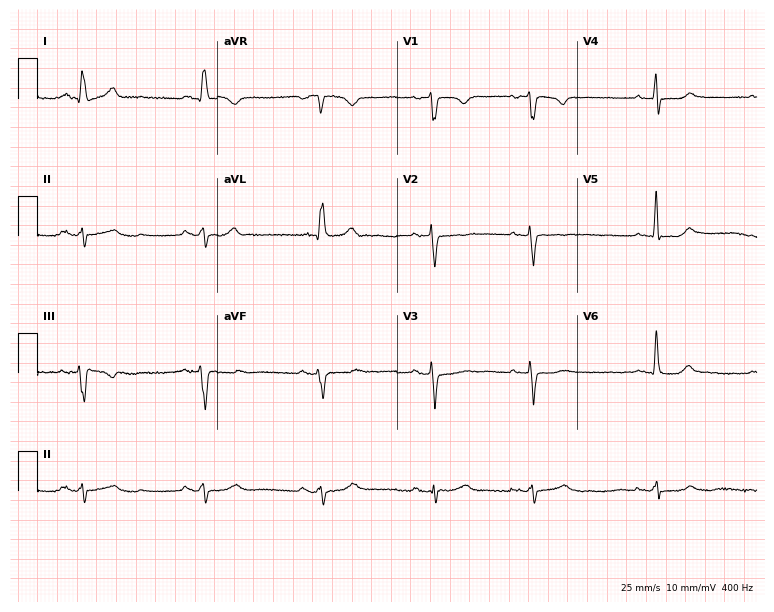
Electrocardiogram, a female patient, 57 years old. Interpretation includes sinus bradycardia (a sinus rate of 50 beats per minute or less).